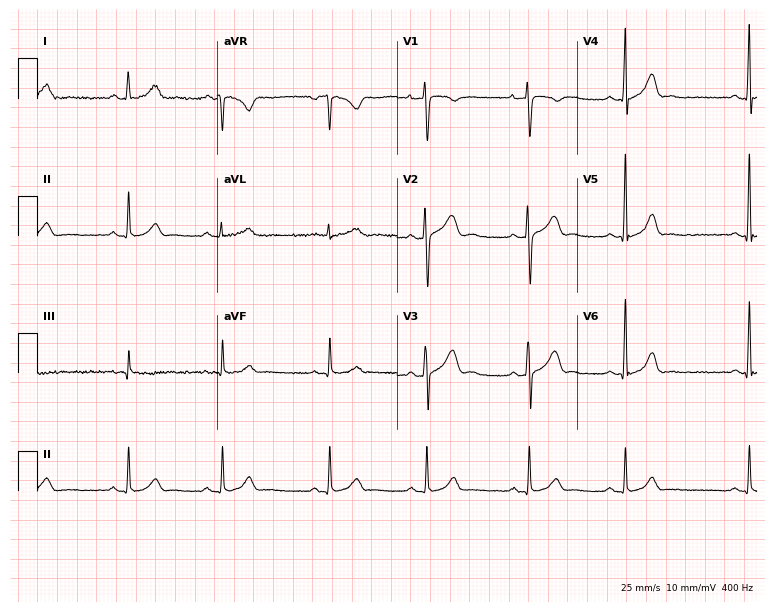
ECG (7.3-second recording at 400 Hz) — a 28-year-old female. Screened for six findings — first-degree AV block, right bundle branch block, left bundle branch block, sinus bradycardia, atrial fibrillation, sinus tachycardia — none is recorded.